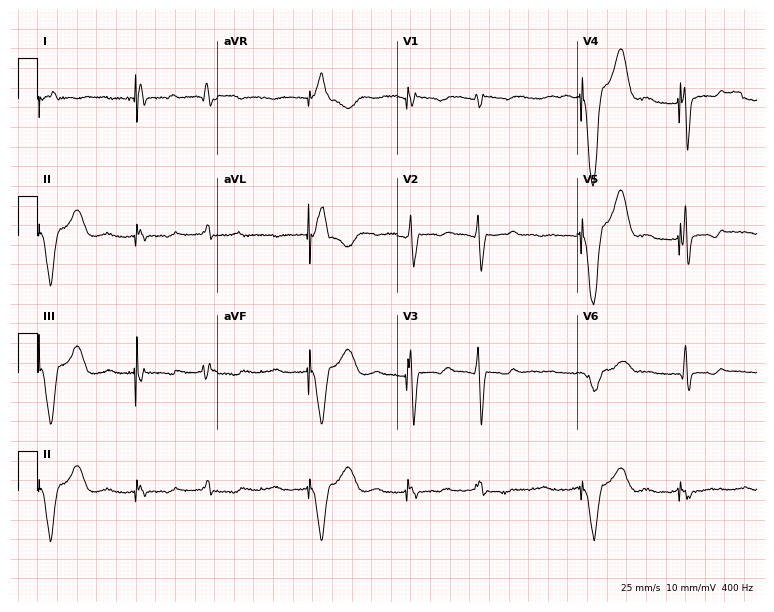
Electrocardiogram, a 63-year-old man. Of the six screened findings (first-degree AV block, right bundle branch block (RBBB), left bundle branch block (LBBB), sinus bradycardia, atrial fibrillation (AF), sinus tachycardia), none is recorded.